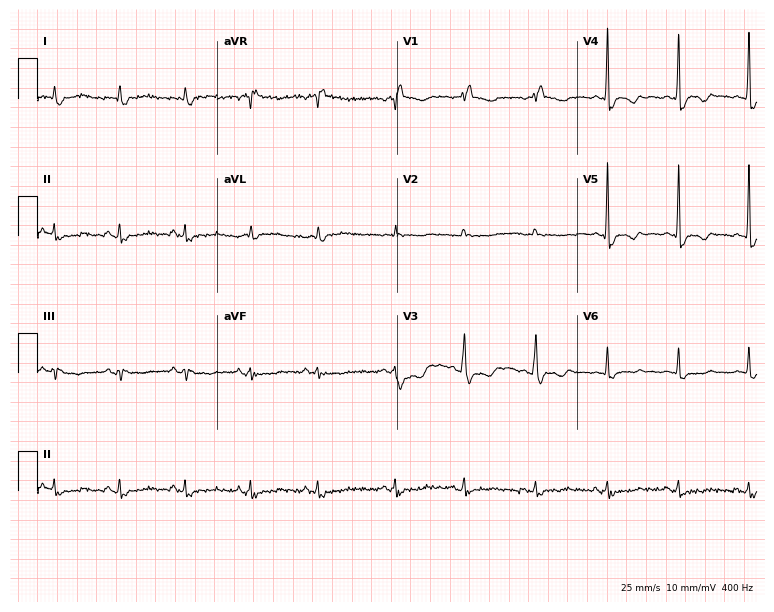
ECG (7.3-second recording at 400 Hz) — a female patient, 65 years old. Findings include right bundle branch block.